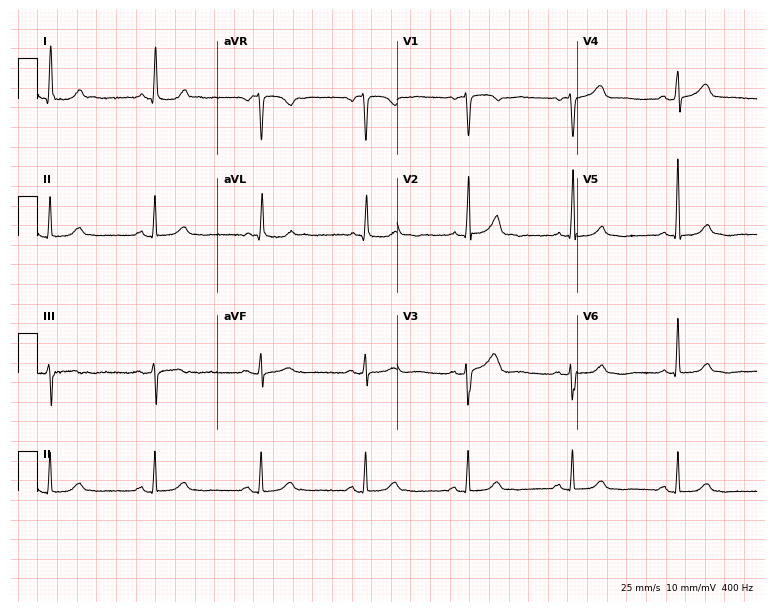
Resting 12-lead electrocardiogram (7.3-second recording at 400 Hz). Patient: a woman, 79 years old. Read as a normal ECG.